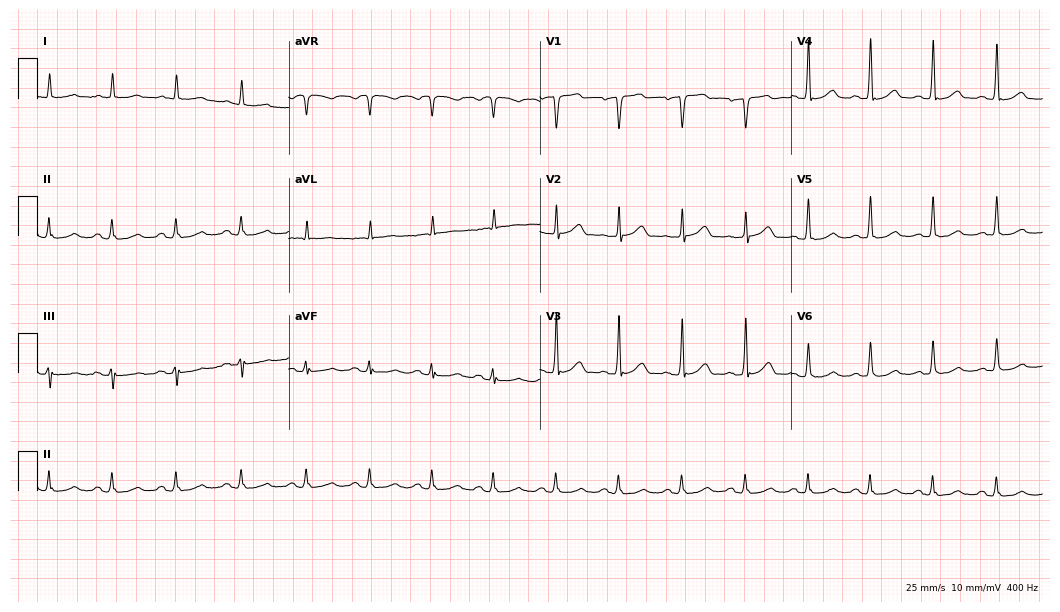
Resting 12-lead electrocardiogram. Patient: a 62-year-old male. None of these six findings is recorded: first-degree AV block, right bundle branch block (RBBB), left bundle branch block (LBBB), sinus bradycardia, atrial fibrillation (AF), sinus tachycardia. Only these six findings were labelled.